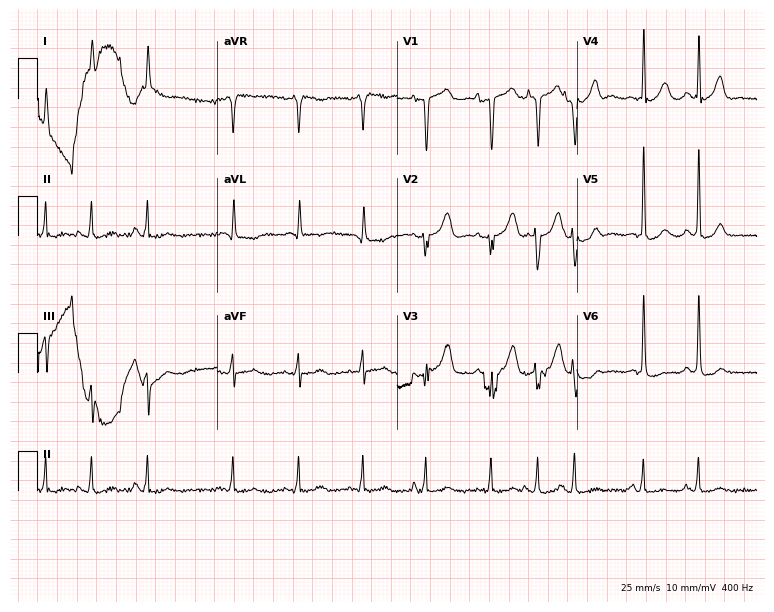
Standard 12-lead ECG recorded from a female patient, 81 years old (7.3-second recording at 400 Hz). None of these six findings is recorded: first-degree AV block, right bundle branch block, left bundle branch block, sinus bradycardia, atrial fibrillation, sinus tachycardia.